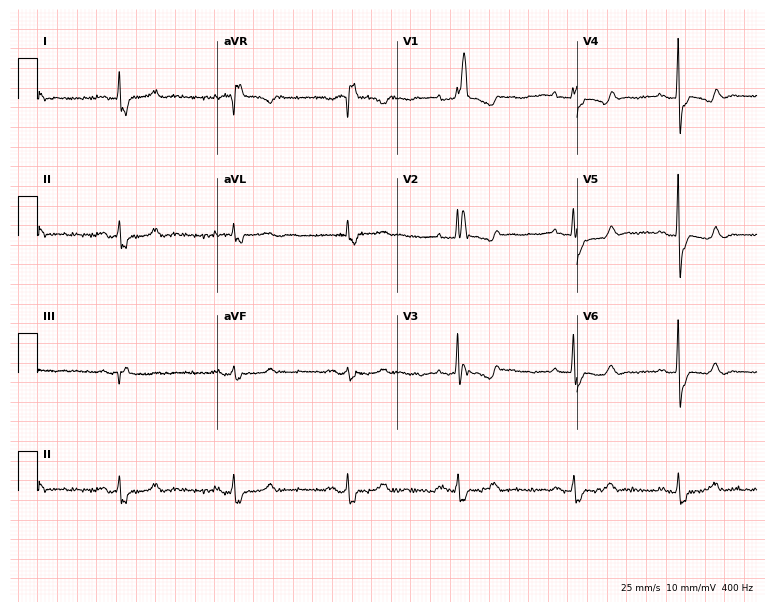
Resting 12-lead electrocardiogram. Patient: a female, 66 years old. The tracing shows right bundle branch block.